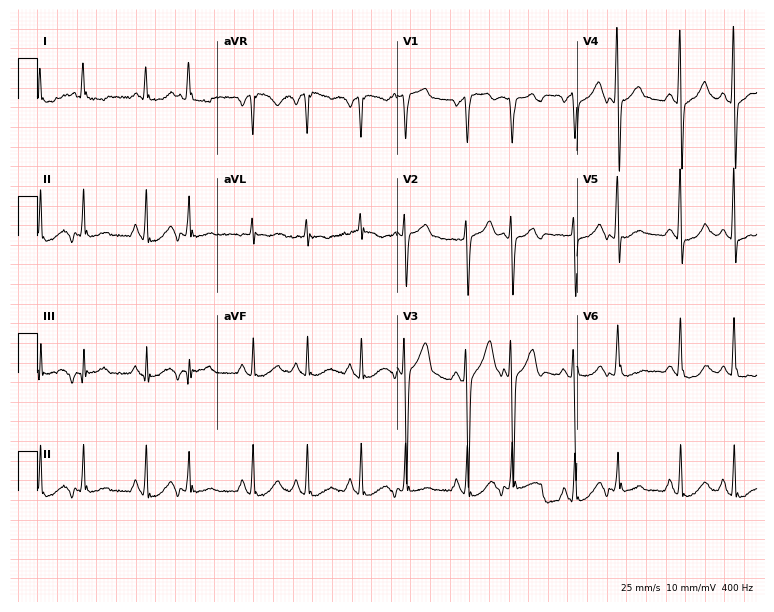
Standard 12-lead ECG recorded from a male patient, 45 years old. None of these six findings is recorded: first-degree AV block, right bundle branch block, left bundle branch block, sinus bradycardia, atrial fibrillation, sinus tachycardia.